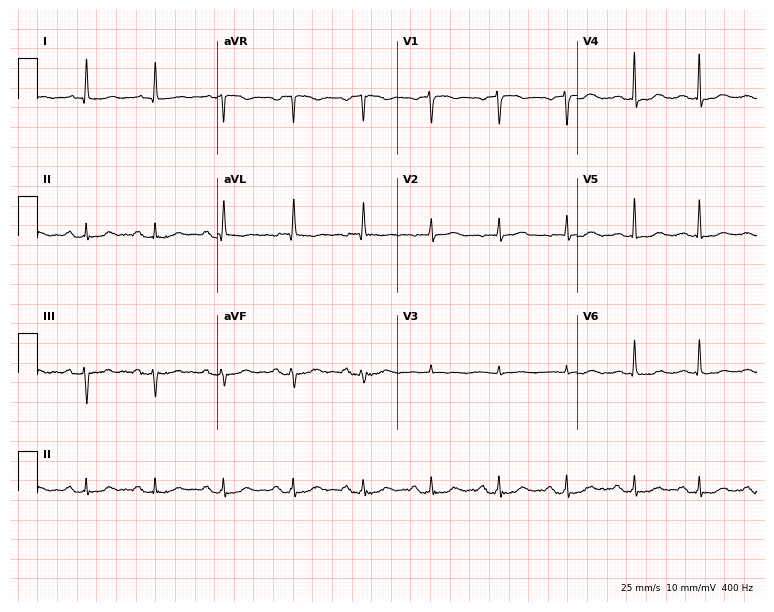
12-lead ECG from an 81-year-old female (7.3-second recording at 400 Hz). No first-degree AV block, right bundle branch block, left bundle branch block, sinus bradycardia, atrial fibrillation or sinus tachycardia recorded for this tracing. Only these six findings were labelled.